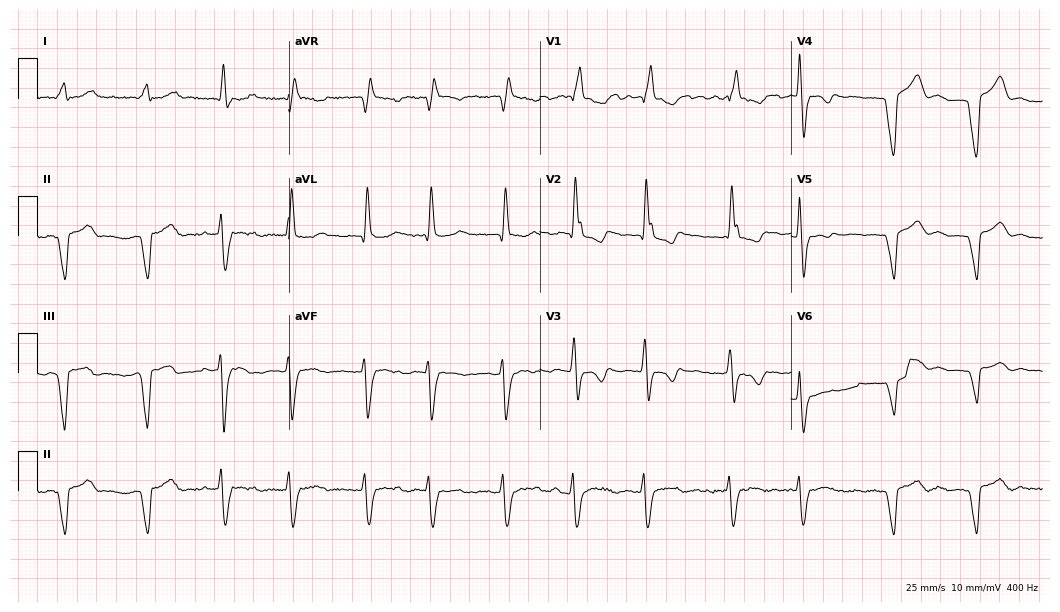
Electrocardiogram (10.2-second recording at 400 Hz), a 66-year-old female. Interpretation includes right bundle branch block, atrial fibrillation.